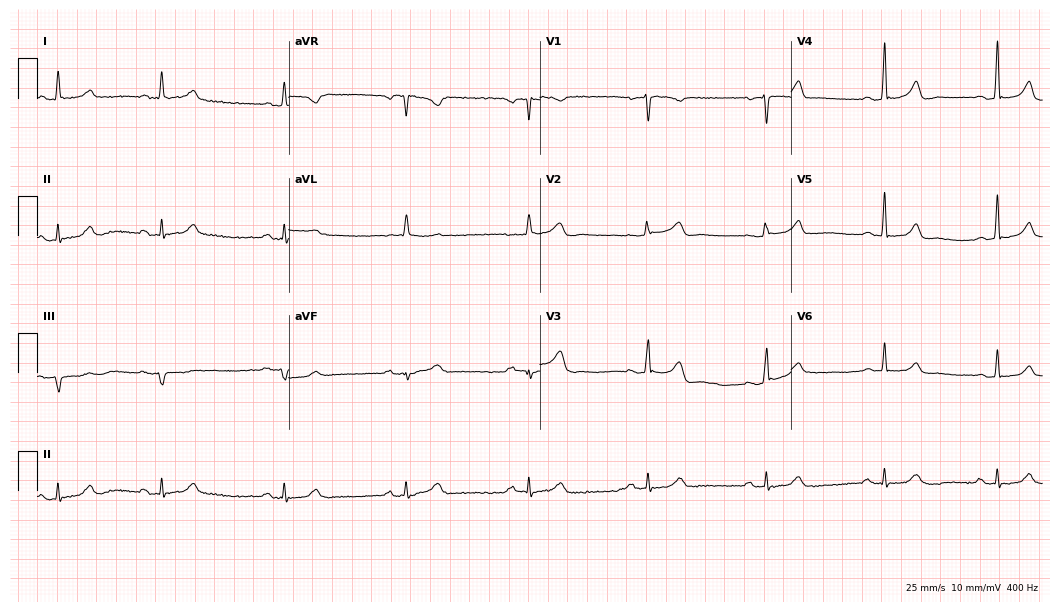
12-lead ECG from a 59-year-old woman. No first-degree AV block, right bundle branch block, left bundle branch block, sinus bradycardia, atrial fibrillation or sinus tachycardia recorded for this tracing. Only these six findings were labelled.